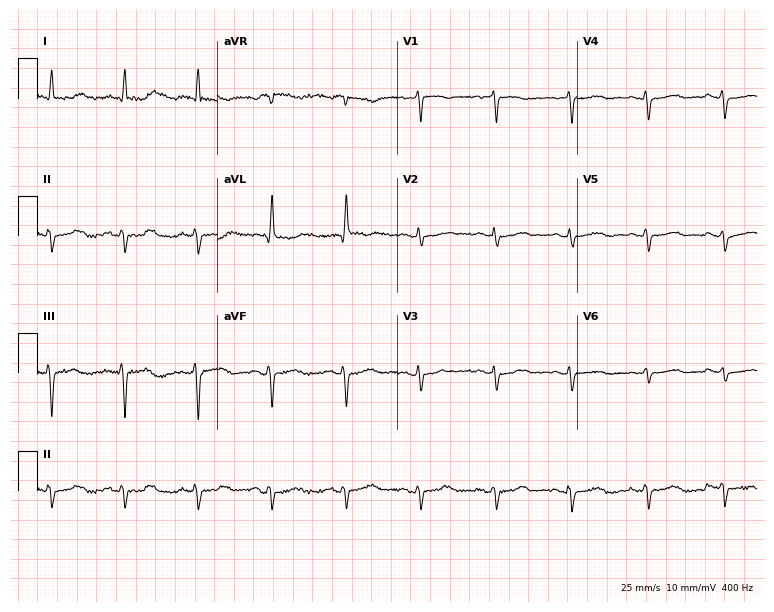
12-lead ECG from a female, 67 years old. Screened for six findings — first-degree AV block, right bundle branch block (RBBB), left bundle branch block (LBBB), sinus bradycardia, atrial fibrillation (AF), sinus tachycardia — none is recorded.